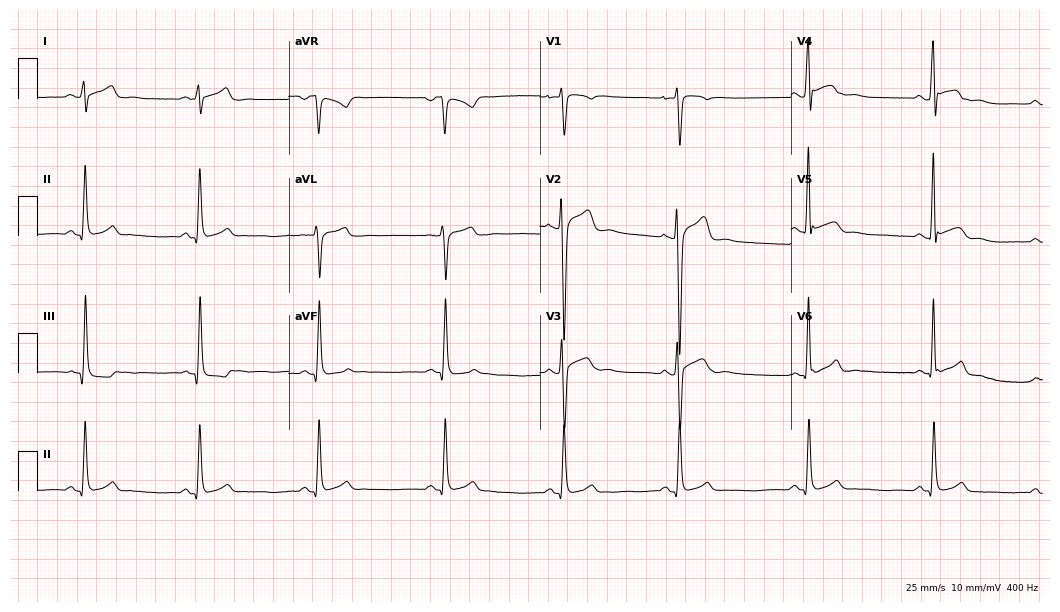
Standard 12-lead ECG recorded from a 19-year-old man. The tracing shows sinus bradycardia (a sinus rate of 50 beats per minute or less).